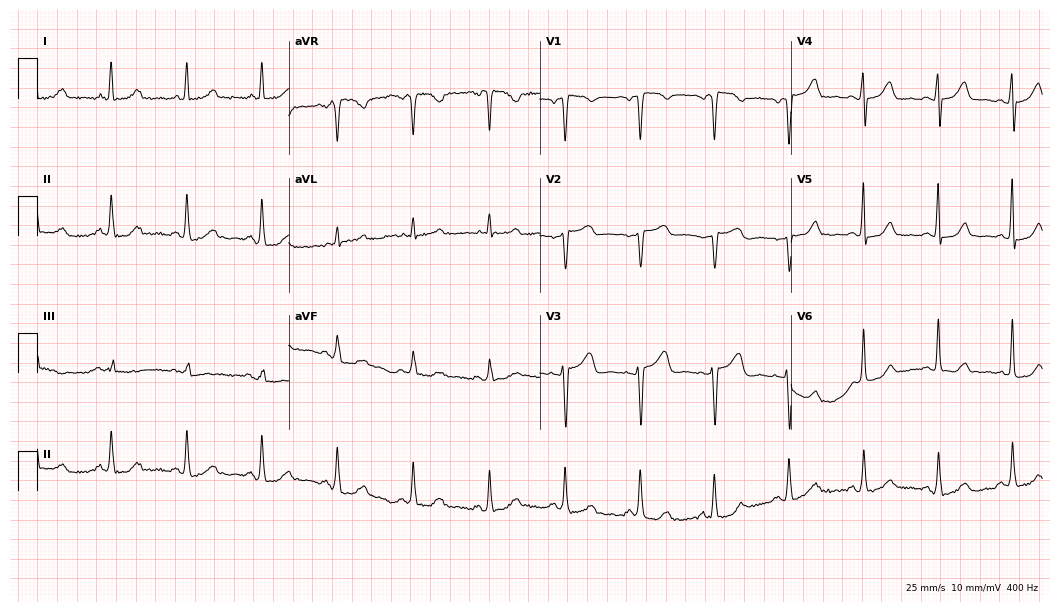
Standard 12-lead ECG recorded from a 51-year-old female patient. Read as a normal ECG.